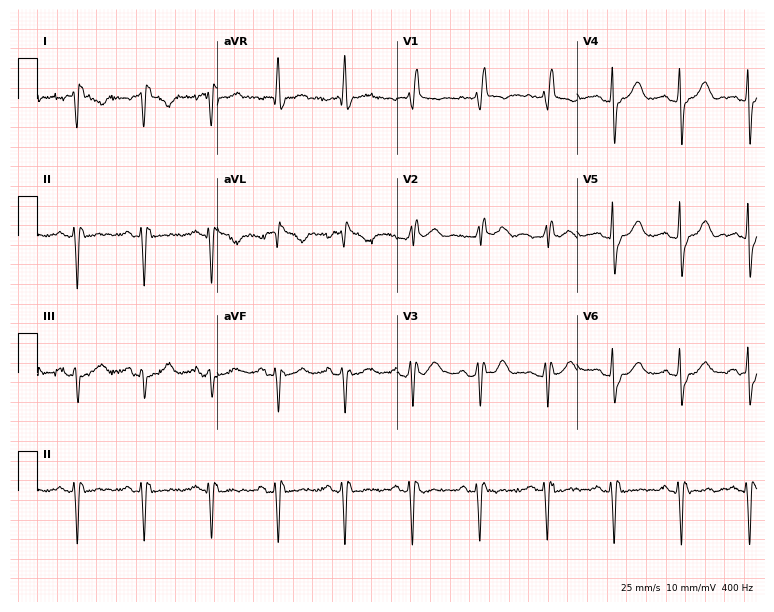
12-lead ECG (7.3-second recording at 400 Hz) from a man, 83 years old. Screened for six findings — first-degree AV block, right bundle branch block, left bundle branch block, sinus bradycardia, atrial fibrillation, sinus tachycardia — none is recorded.